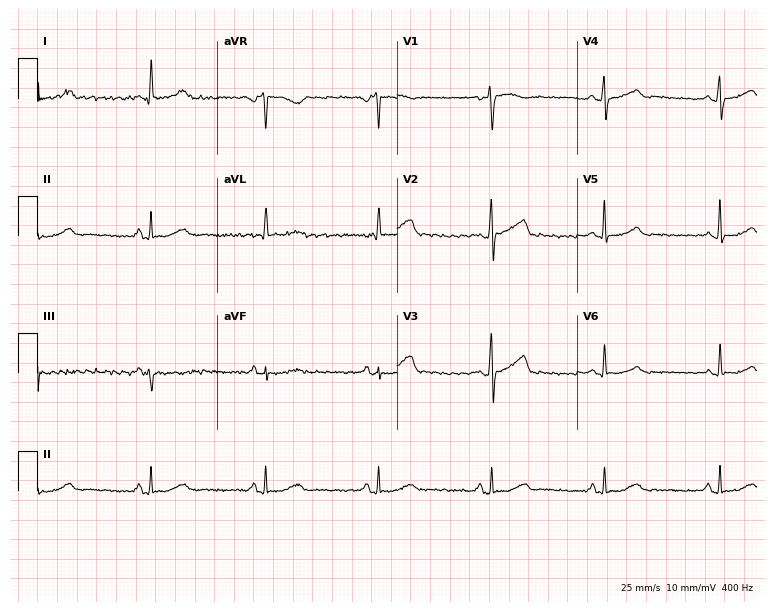
12-lead ECG (7.3-second recording at 400 Hz) from a female, 43 years old. Labelled as a normal ECG.